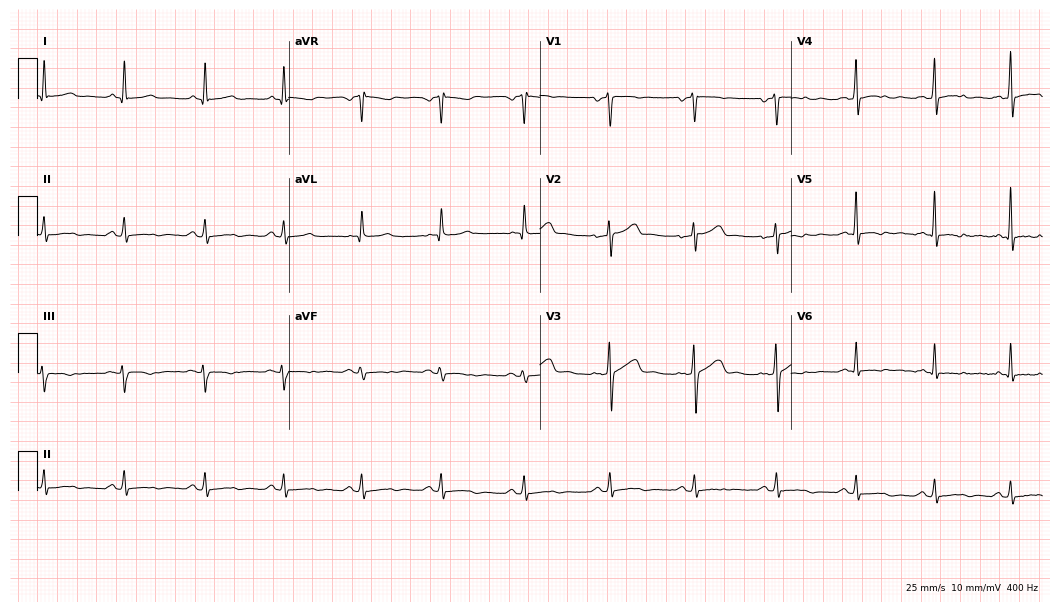
ECG — a male patient, 46 years old. Labelled as a normal ECG.